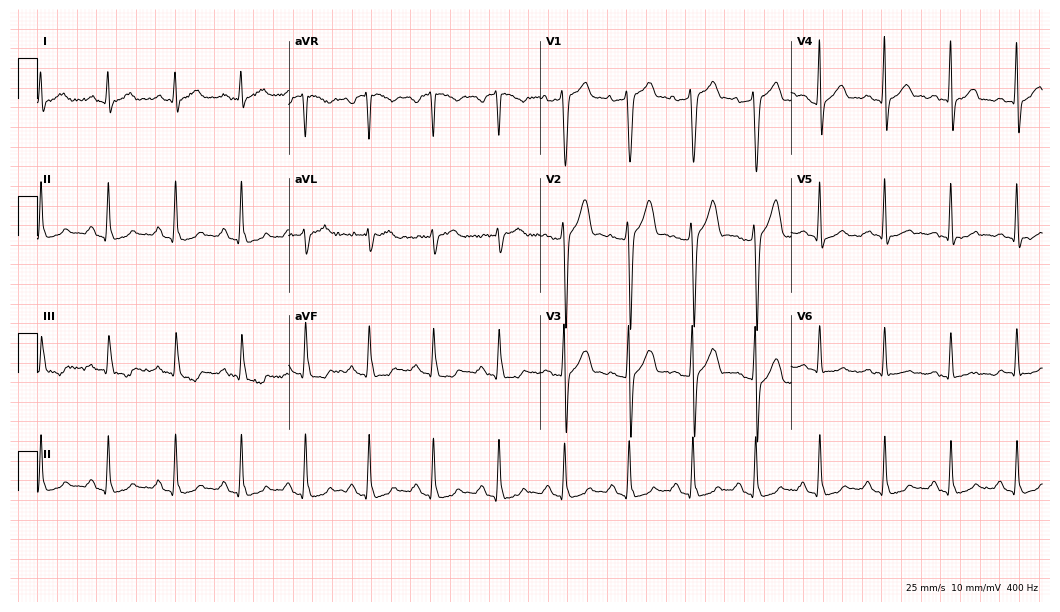
12-lead ECG from a 46-year-old male. Labelled as a normal ECG.